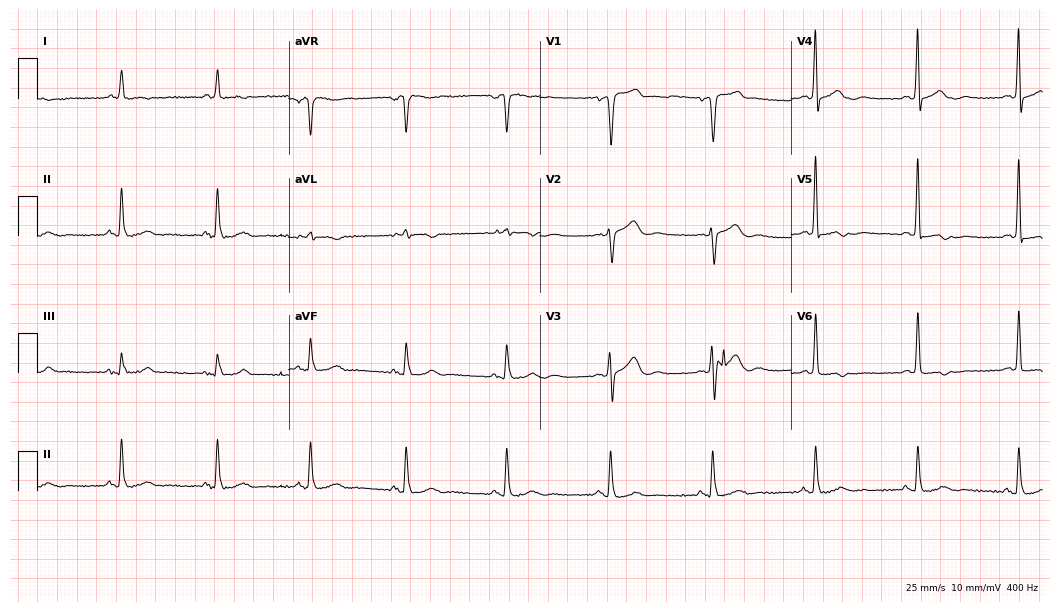
12-lead ECG from a male, 66 years old. Screened for six findings — first-degree AV block, right bundle branch block, left bundle branch block, sinus bradycardia, atrial fibrillation, sinus tachycardia — none is recorded. Only these six findings were labelled.